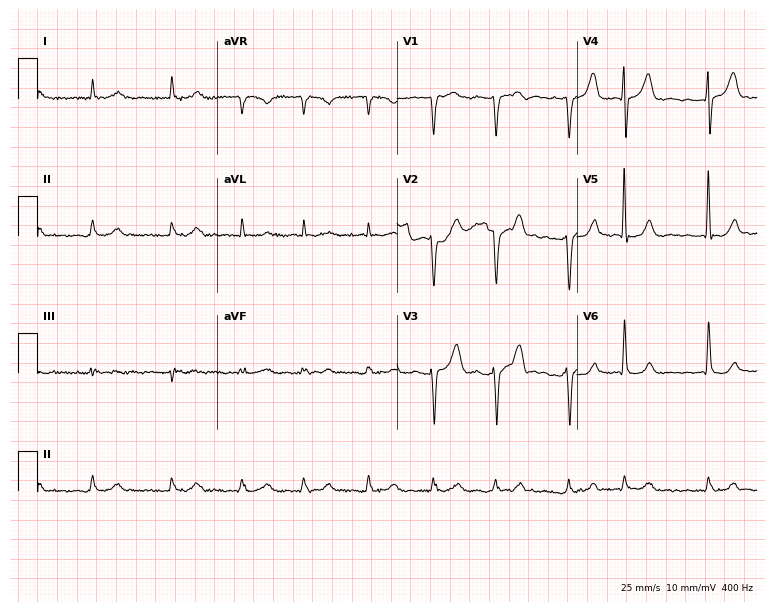
12-lead ECG from a 78-year-old male patient. Shows atrial fibrillation.